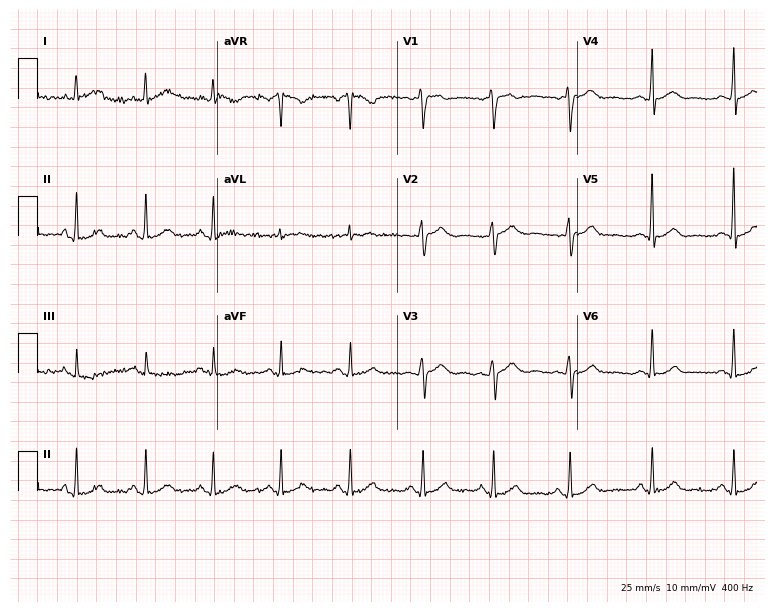
Resting 12-lead electrocardiogram. Patient: a woman, 48 years old. None of these six findings is recorded: first-degree AV block, right bundle branch block, left bundle branch block, sinus bradycardia, atrial fibrillation, sinus tachycardia.